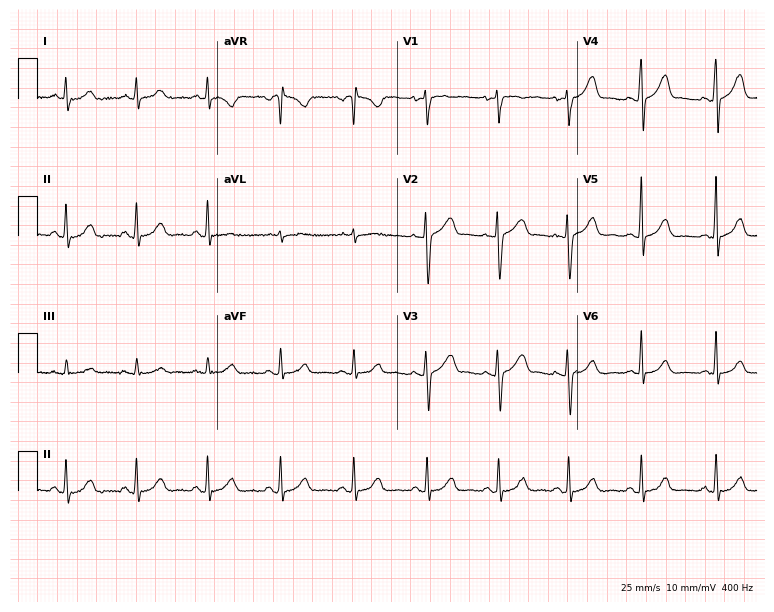
Standard 12-lead ECG recorded from a 41-year-old woman. Read as a normal ECG.